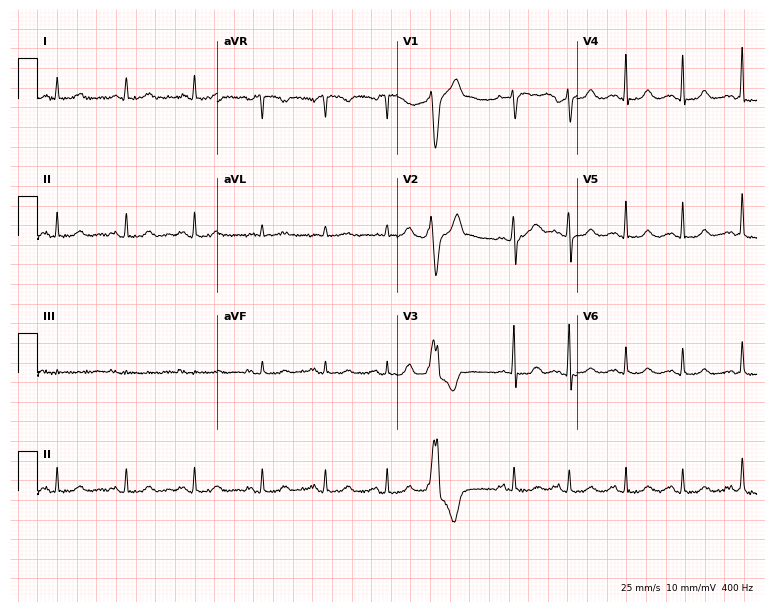
Electrocardiogram (7.3-second recording at 400 Hz), a woman, 46 years old. Of the six screened findings (first-degree AV block, right bundle branch block, left bundle branch block, sinus bradycardia, atrial fibrillation, sinus tachycardia), none is recorded. Findings outside these six are not listed.